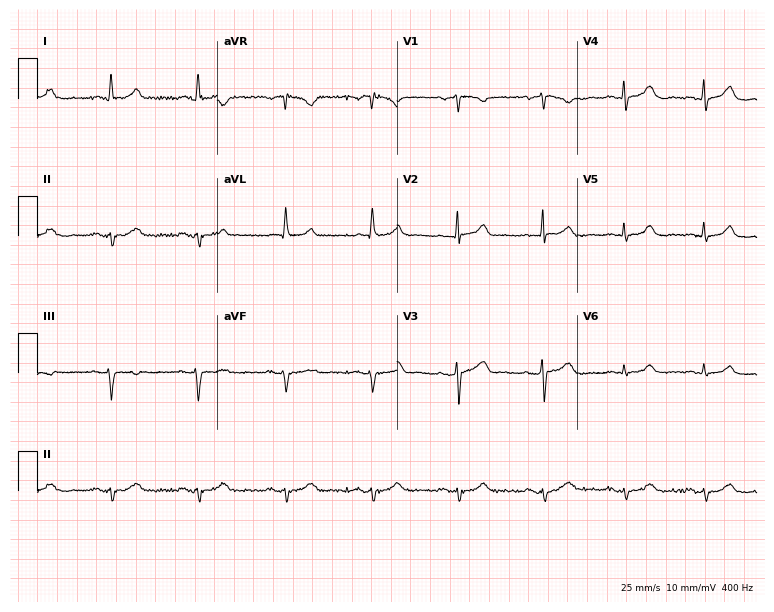
Standard 12-lead ECG recorded from a female, 78 years old (7.3-second recording at 400 Hz). None of these six findings is recorded: first-degree AV block, right bundle branch block, left bundle branch block, sinus bradycardia, atrial fibrillation, sinus tachycardia. Findings outside these six are not listed.